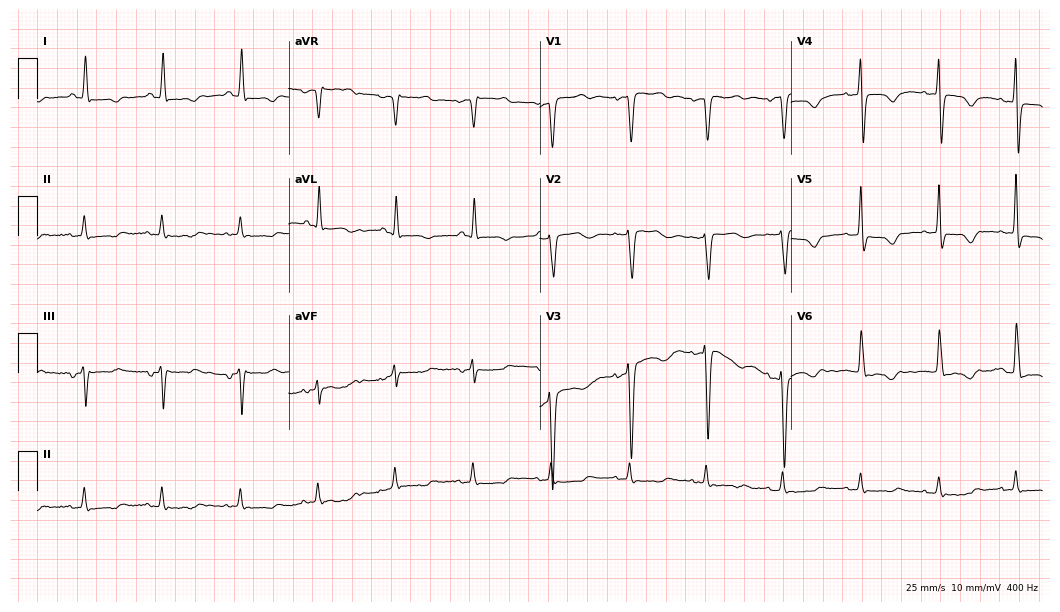
Standard 12-lead ECG recorded from a female patient, 84 years old (10.2-second recording at 400 Hz). None of these six findings is recorded: first-degree AV block, right bundle branch block, left bundle branch block, sinus bradycardia, atrial fibrillation, sinus tachycardia. Only these six findings were labelled.